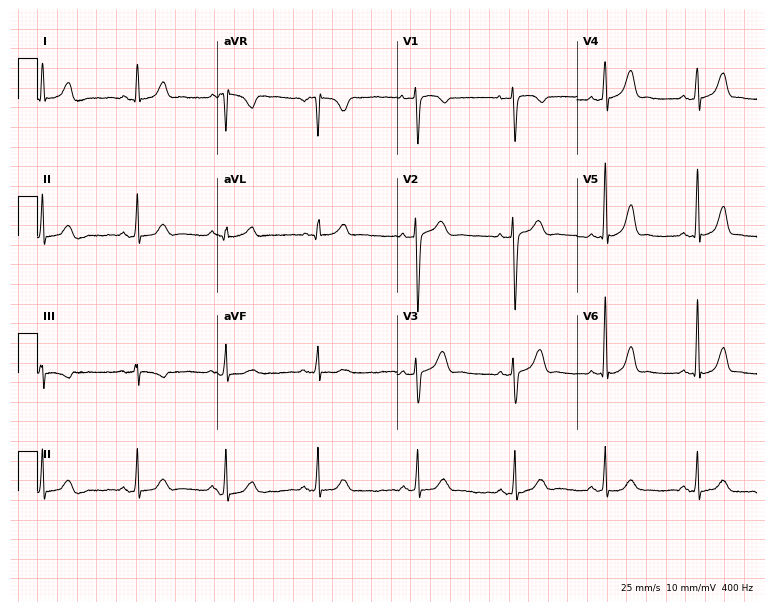
Resting 12-lead electrocardiogram (7.3-second recording at 400 Hz). Patient: a female, 44 years old. Read as a normal ECG.